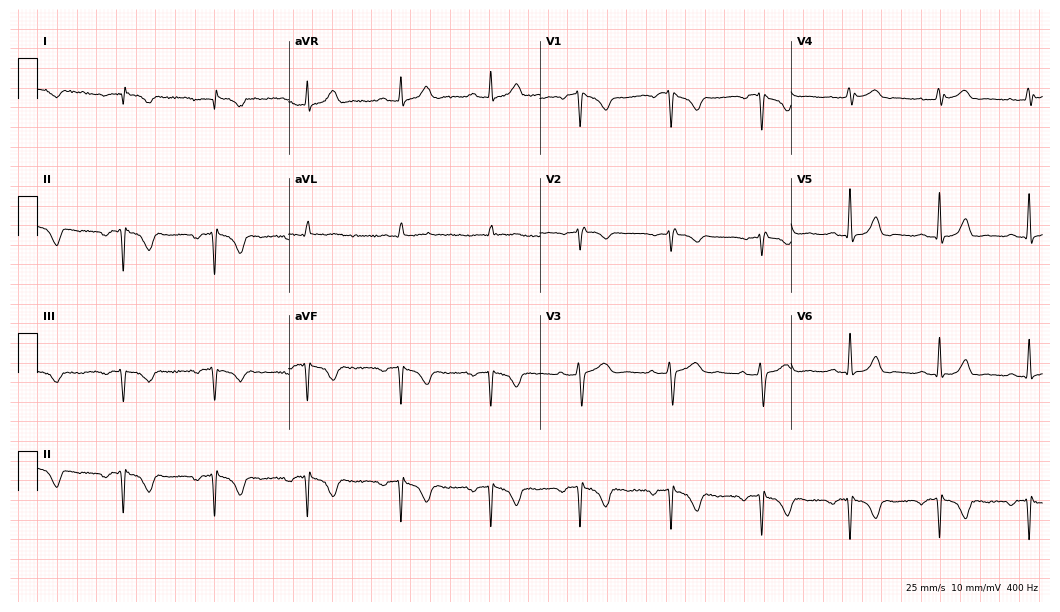
12-lead ECG from a woman, 55 years old (10.2-second recording at 400 Hz). No first-degree AV block, right bundle branch block, left bundle branch block, sinus bradycardia, atrial fibrillation or sinus tachycardia recorded for this tracing.